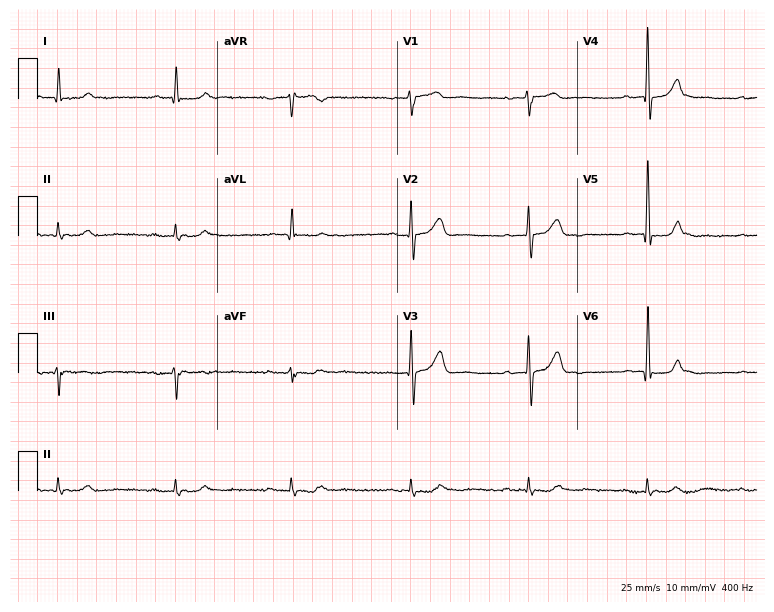
12-lead ECG (7.3-second recording at 400 Hz) from a male, 75 years old. Findings include first-degree AV block, sinus bradycardia (a sinus rate of 50 beats per minute or less).